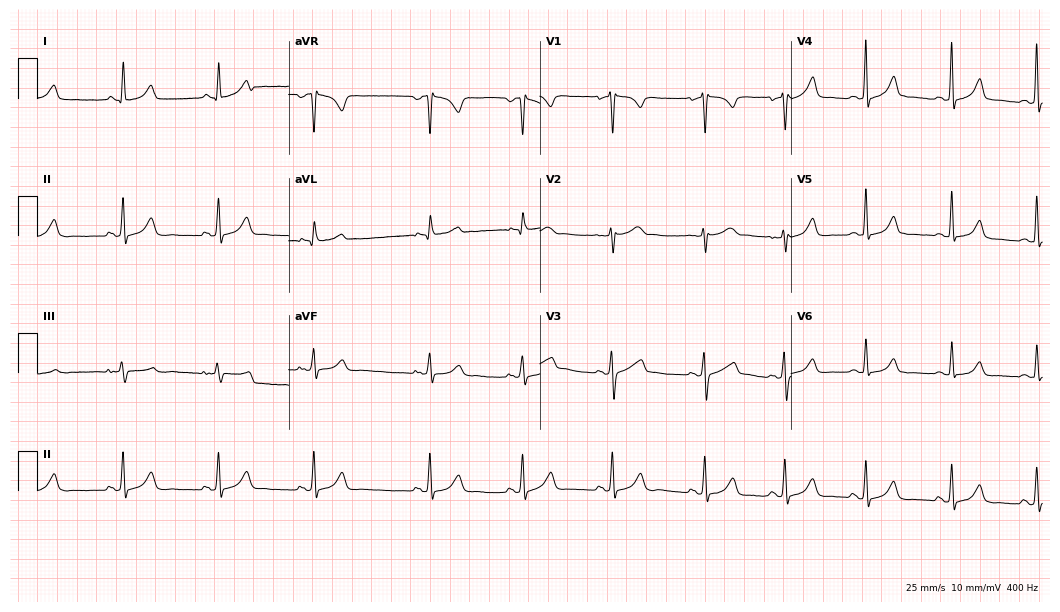
12-lead ECG from a 34-year-old female. Screened for six findings — first-degree AV block, right bundle branch block (RBBB), left bundle branch block (LBBB), sinus bradycardia, atrial fibrillation (AF), sinus tachycardia — none is recorded.